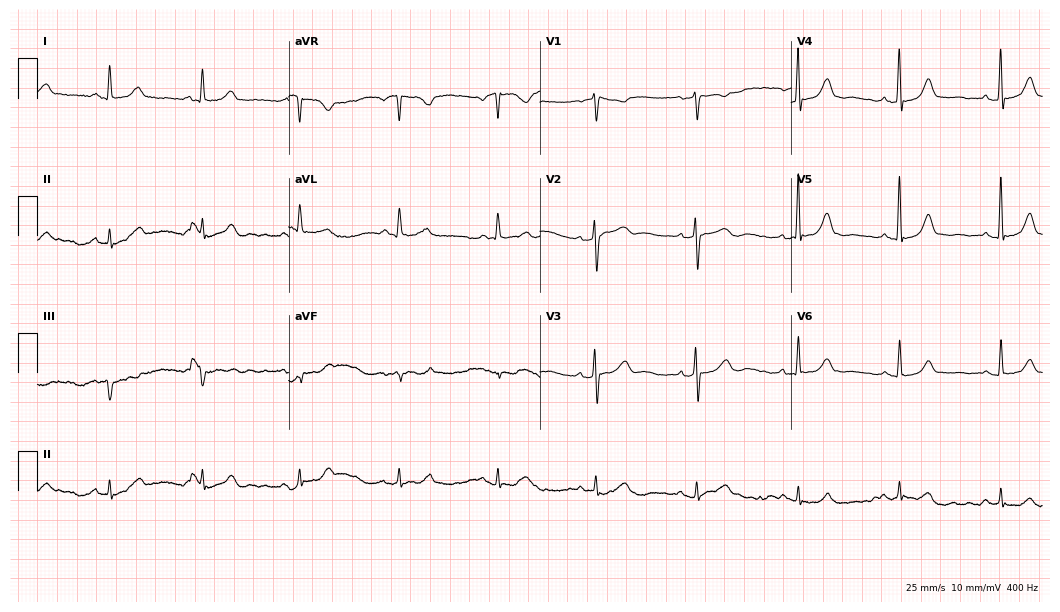
Standard 12-lead ECG recorded from a woman, 74 years old (10.2-second recording at 400 Hz). Read as a normal ECG.